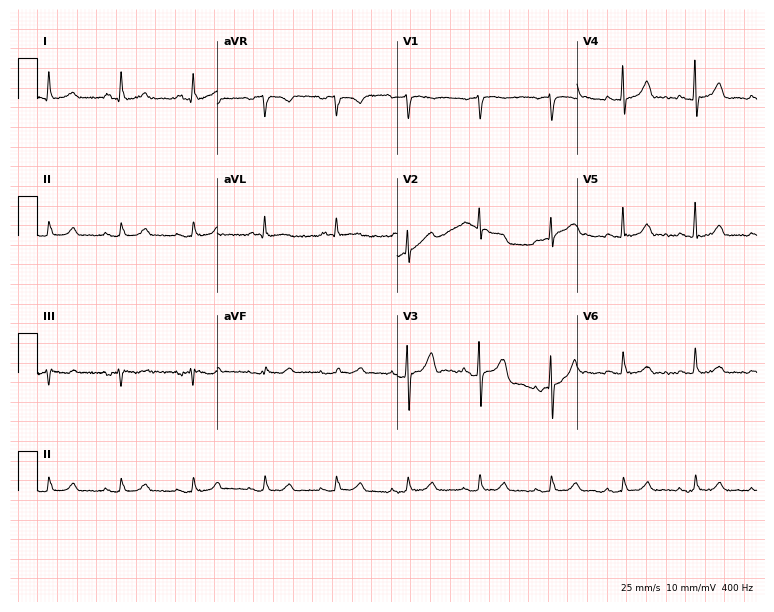
Electrocardiogram (7.3-second recording at 400 Hz), a male patient, 68 years old. Overall reading on record: normal ECG.